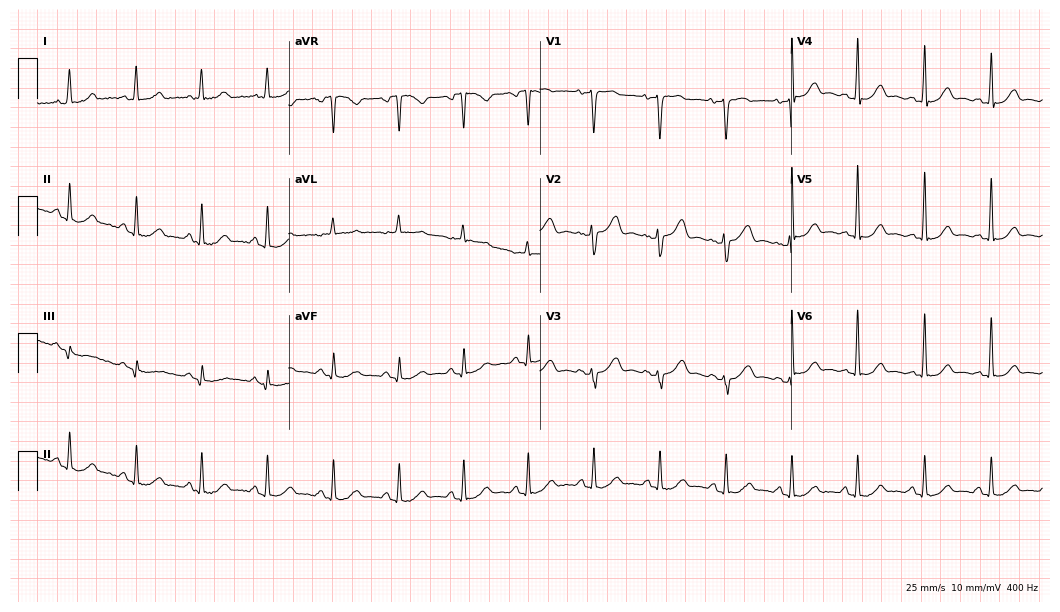
ECG — a 54-year-old female. Screened for six findings — first-degree AV block, right bundle branch block, left bundle branch block, sinus bradycardia, atrial fibrillation, sinus tachycardia — none is recorded. Only these six findings were labelled.